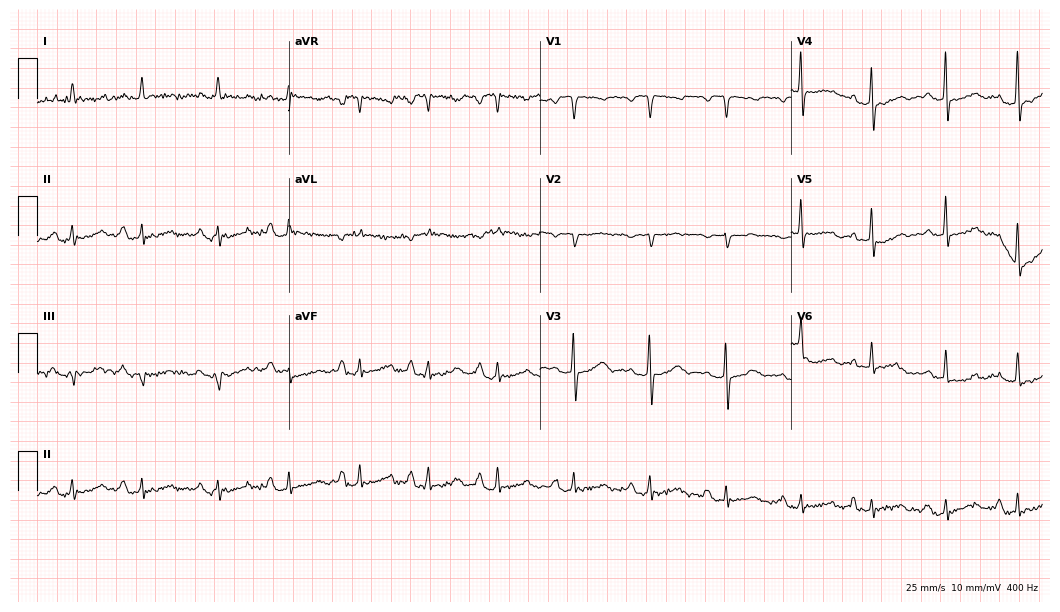
ECG — a female, 63 years old. Screened for six findings — first-degree AV block, right bundle branch block, left bundle branch block, sinus bradycardia, atrial fibrillation, sinus tachycardia — none is recorded. Only these six findings were labelled.